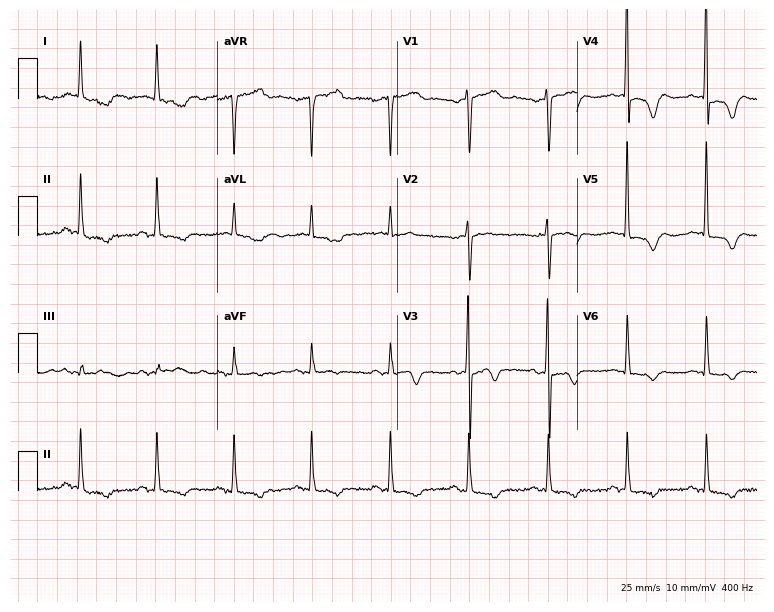
Electrocardiogram (7.3-second recording at 400 Hz), a man, 79 years old. Of the six screened findings (first-degree AV block, right bundle branch block, left bundle branch block, sinus bradycardia, atrial fibrillation, sinus tachycardia), none is recorded. Findings outside these six are not listed.